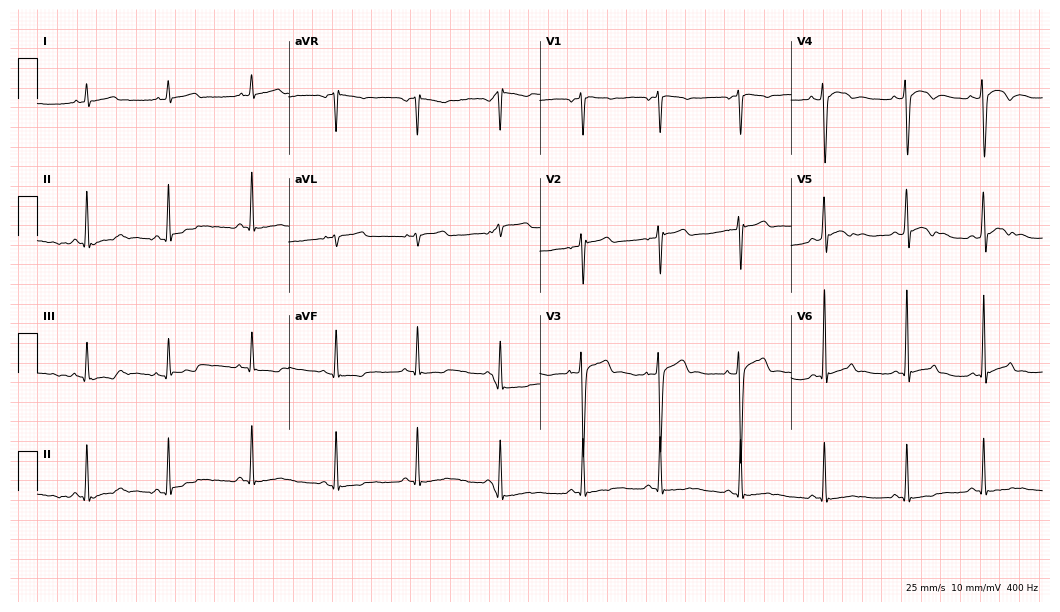
12-lead ECG from a male, 20 years old (10.2-second recording at 400 Hz). No first-degree AV block, right bundle branch block (RBBB), left bundle branch block (LBBB), sinus bradycardia, atrial fibrillation (AF) or sinus tachycardia recorded for this tracing.